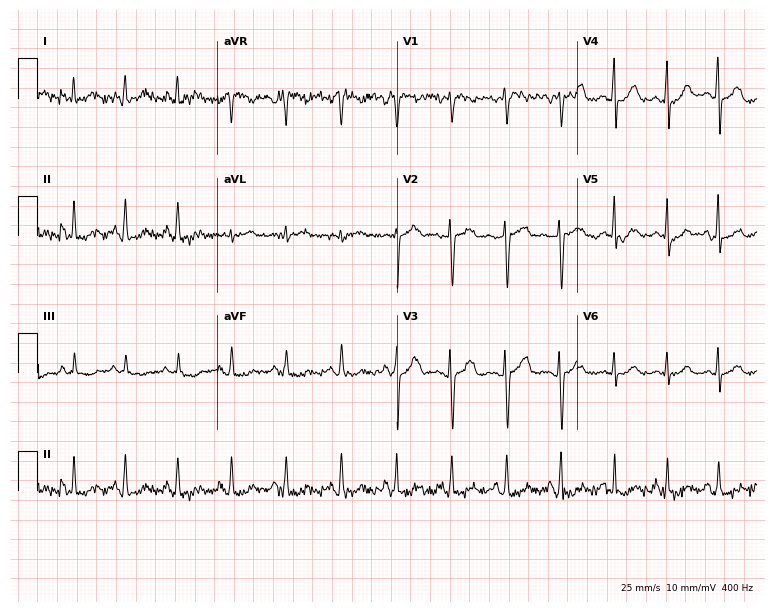
Standard 12-lead ECG recorded from a 40-year-old woman. The tracing shows sinus tachycardia (a sinus rate of 100 beats per minute or more).